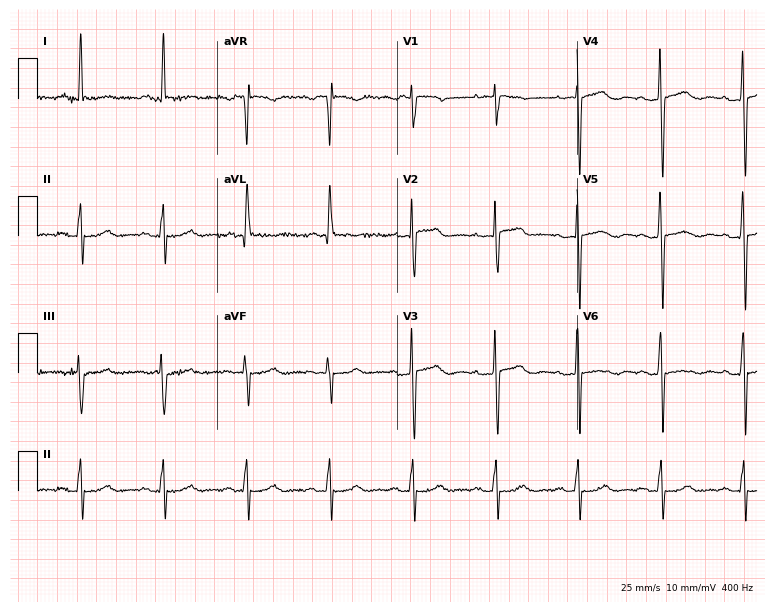
Electrocardiogram (7.3-second recording at 400 Hz), a 55-year-old woman. Of the six screened findings (first-degree AV block, right bundle branch block (RBBB), left bundle branch block (LBBB), sinus bradycardia, atrial fibrillation (AF), sinus tachycardia), none is recorded.